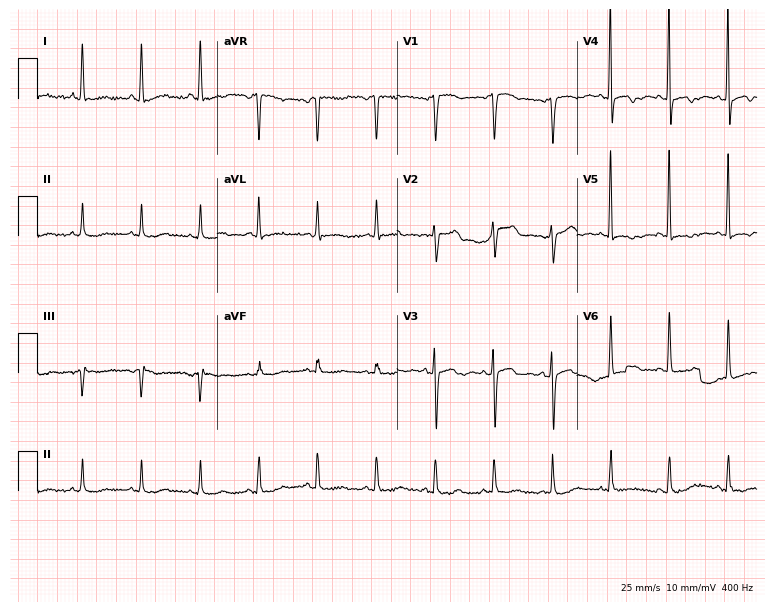
12-lead ECG from a 63-year-old female patient (7.3-second recording at 400 Hz). Shows sinus tachycardia (a sinus rate of 100 beats per minute or more).